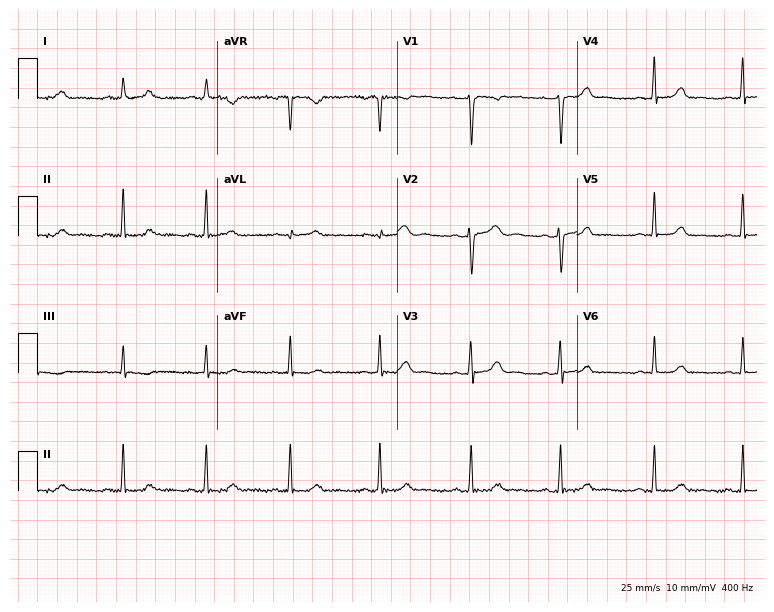
Standard 12-lead ECG recorded from a female, 32 years old (7.3-second recording at 400 Hz). None of these six findings is recorded: first-degree AV block, right bundle branch block, left bundle branch block, sinus bradycardia, atrial fibrillation, sinus tachycardia. Only these six findings were labelled.